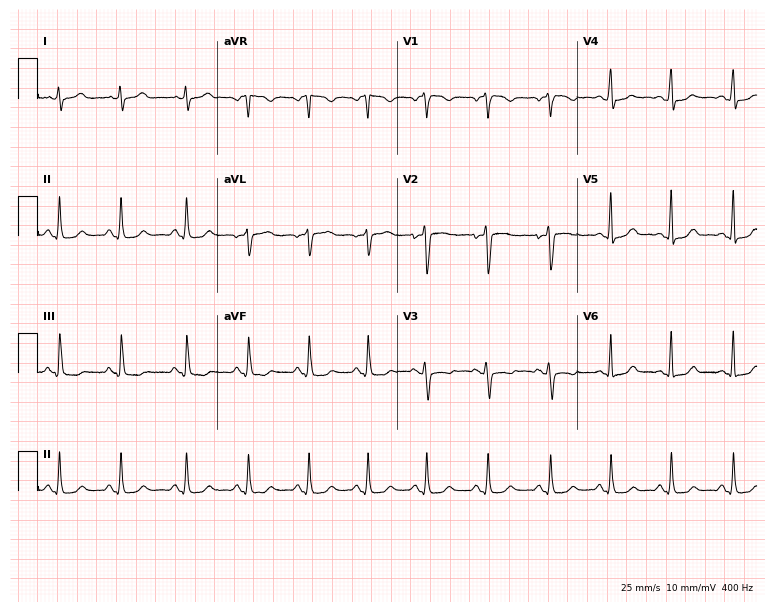
12-lead ECG from a woman, 35 years old. Recorded interpretation: within normal limits.